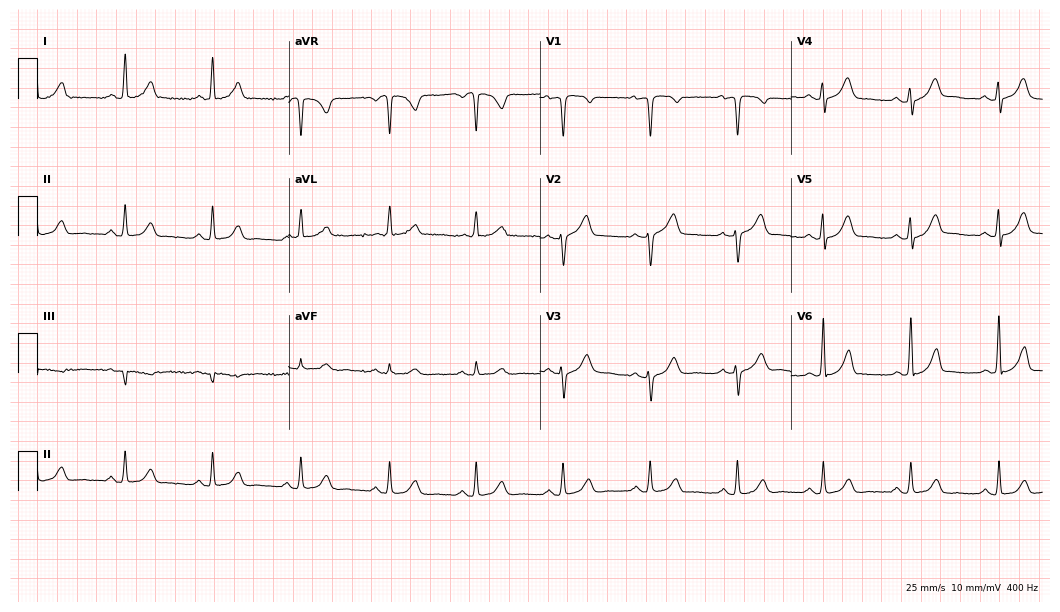
Resting 12-lead electrocardiogram (10.2-second recording at 400 Hz). Patient: a 53-year-old woman. Read as a normal ECG.